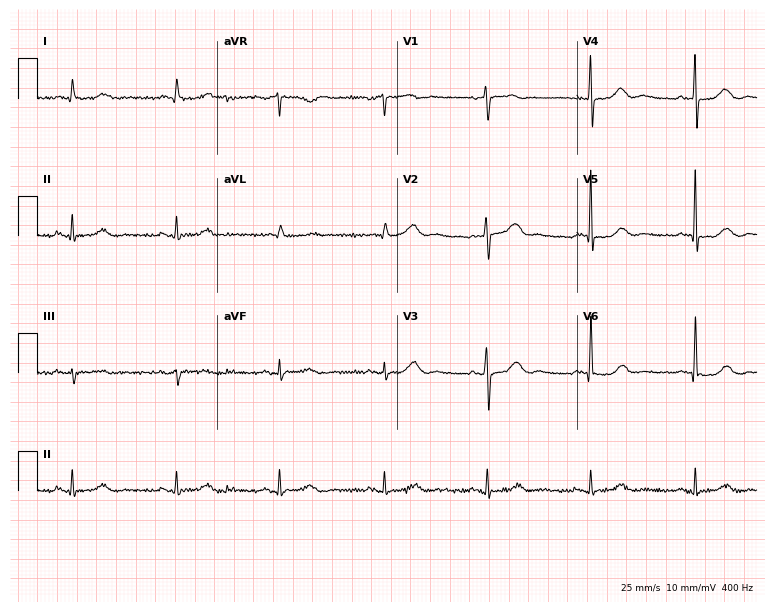
Resting 12-lead electrocardiogram (7.3-second recording at 400 Hz). Patient: a 73-year-old male. Read as a normal ECG.